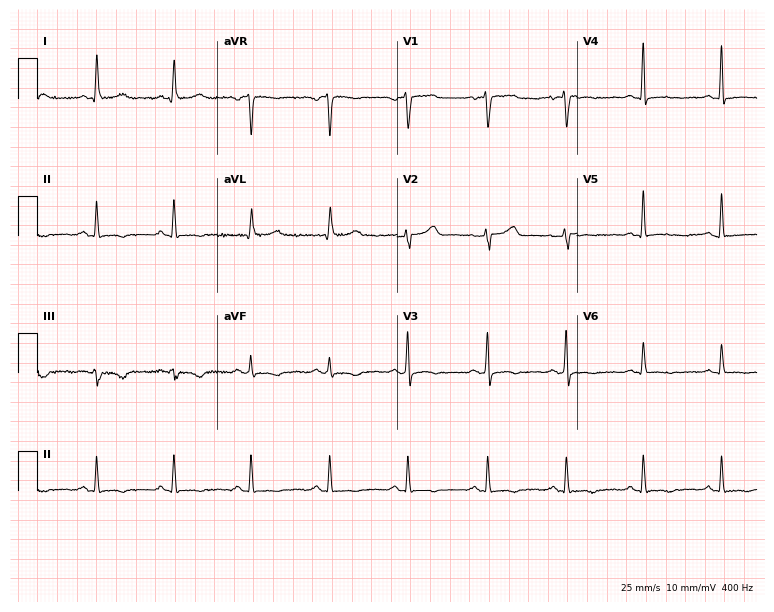
12-lead ECG from a 44-year-old female. Screened for six findings — first-degree AV block, right bundle branch block (RBBB), left bundle branch block (LBBB), sinus bradycardia, atrial fibrillation (AF), sinus tachycardia — none is recorded. Other findings, if any, are not listed.